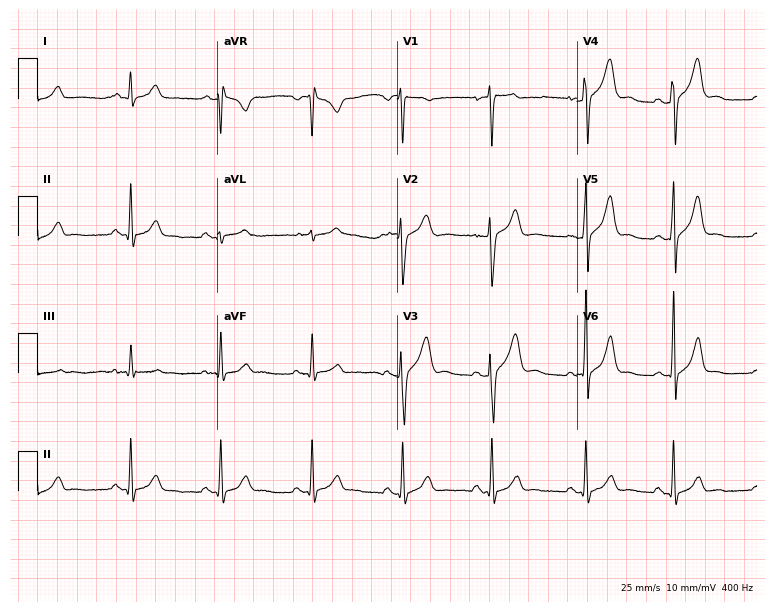
12-lead ECG from a male patient, 23 years old. Recorded interpretation: within normal limits.